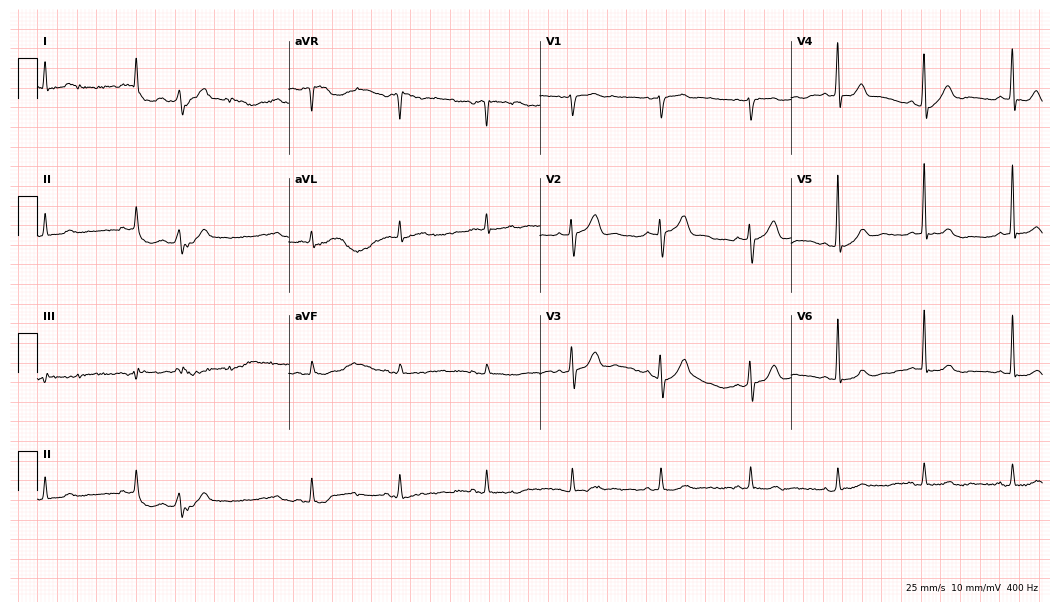
12-lead ECG from a 54-year-old male. Screened for six findings — first-degree AV block, right bundle branch block, left bundle branch block, sinus bradycardia, atrial fibrillation, sinus tachycardia — none is recorded. Findings outside these six are not listed.